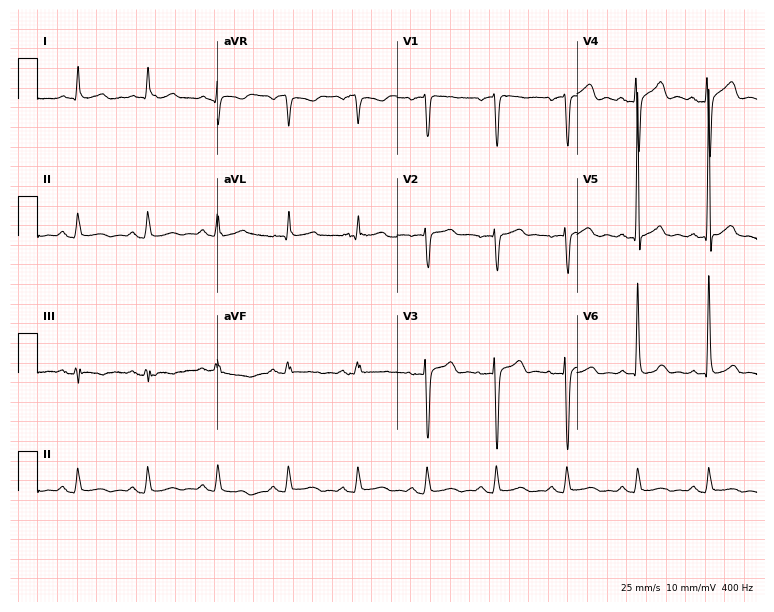
Resting 12-lead electrocardiogram (7.3-second recording at 400 Hz). Patient: a 77-year-old male. None of these six findings is recorded: first-degree AV block, right bundle branch block (RBBB), left bundle branch block (LBBB), sinus bradycardia, atrial fibrillation (AF), sinus tachycardia.